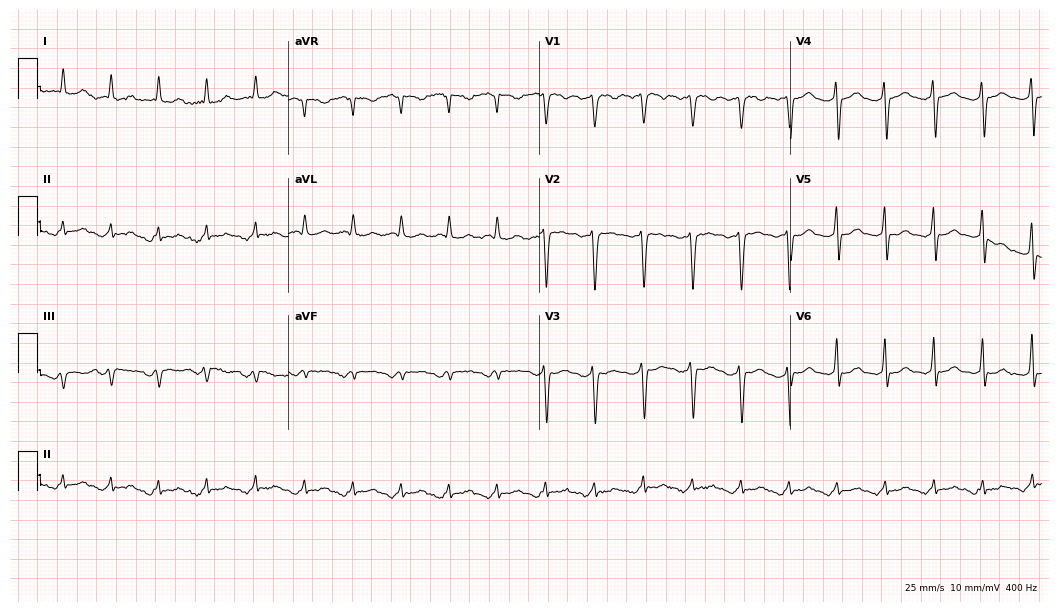
12-lead ECG from a female patient, 69 years old. Findings include sinus tachycardia (a sinus rate of 100 beats per minute or more).